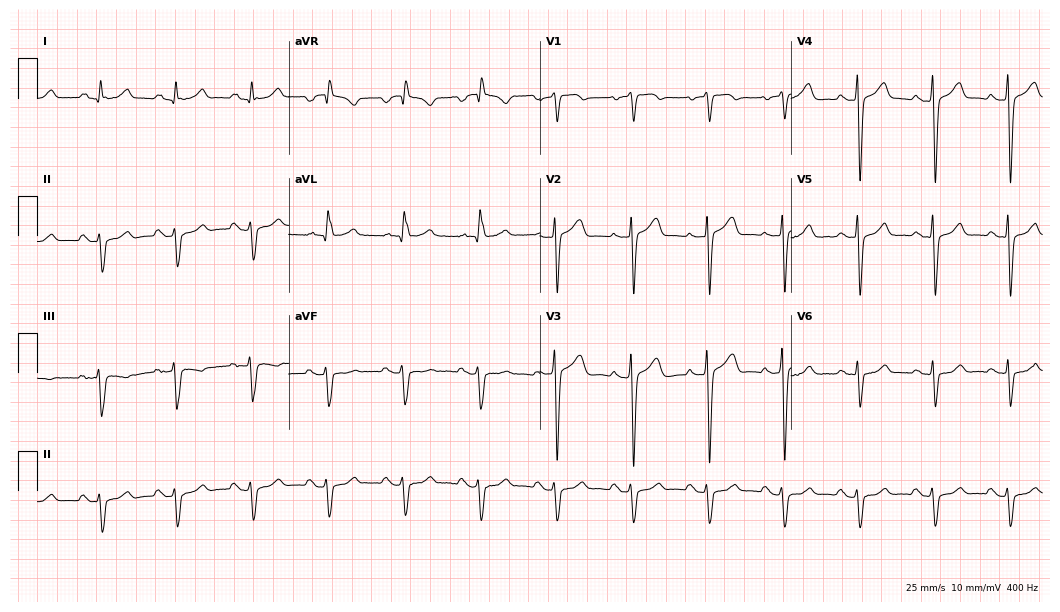
12-lead ECG from an 84-year-old male patient. No first-degree AV block, right bundle branch block, left bundle branch block, sinus bradycardia, atrial fibrillation or sinus tachycardia recorded for this tracing. Findings outside these six are not listed.